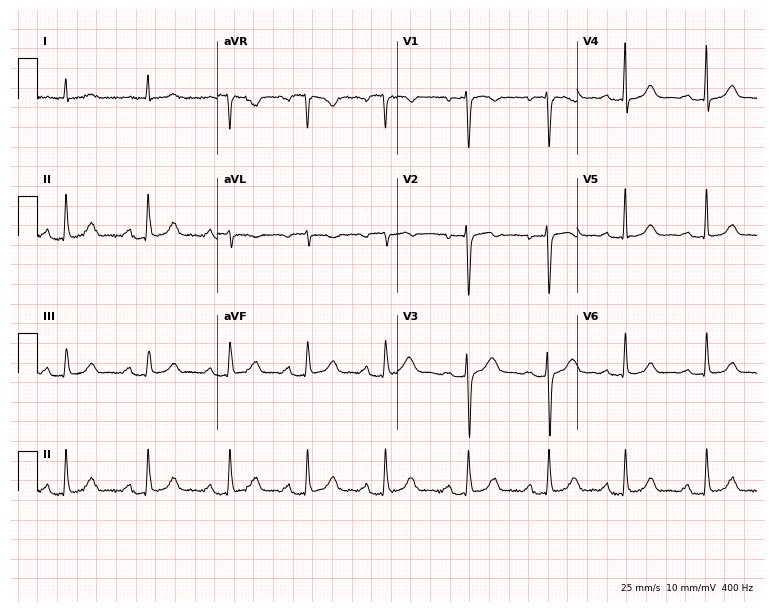
Electrocardiogram (7.3-second recording at 400 Hz), a female patient, 33 years old. Interpretation includes first-degree AV block.